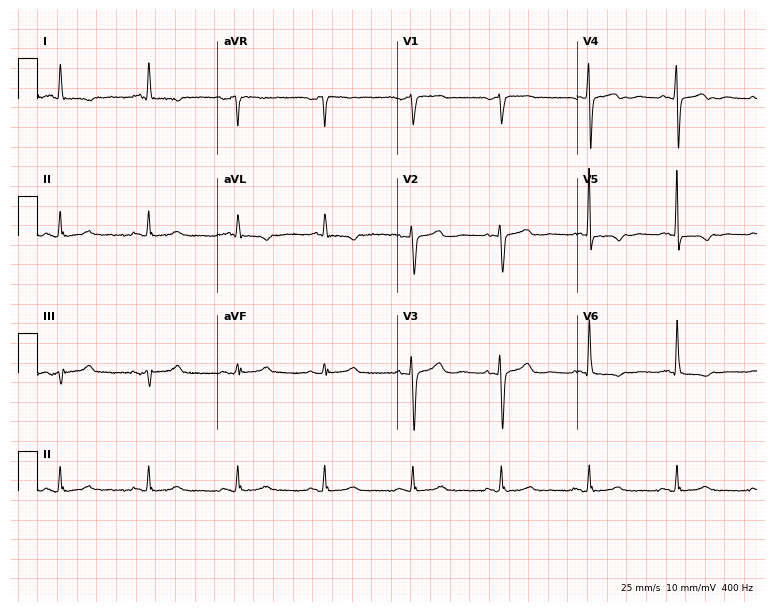
12-lead ECG from a woman, 73 years old (7.3-second recording at 400 Hz). No first-degree AV block, right bundle branch block, left bundle branch block, sinus bradycardia, atrial fibrillation or sinus tachycardia recorded for this tracing.